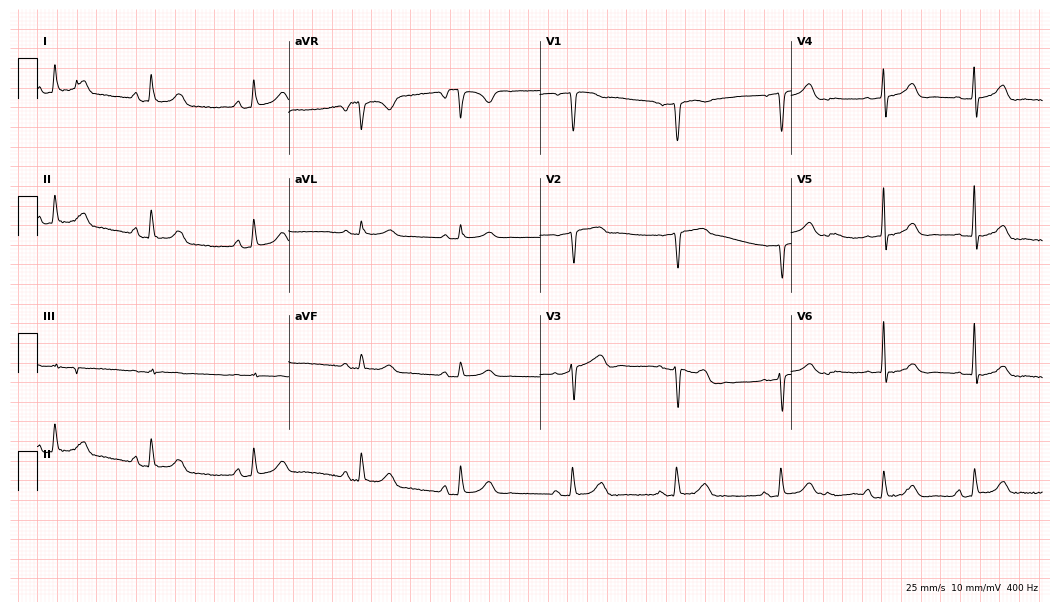
Standard 12-lead ECG recorded from an 84-year-old female patient. Read as a normal ECG.